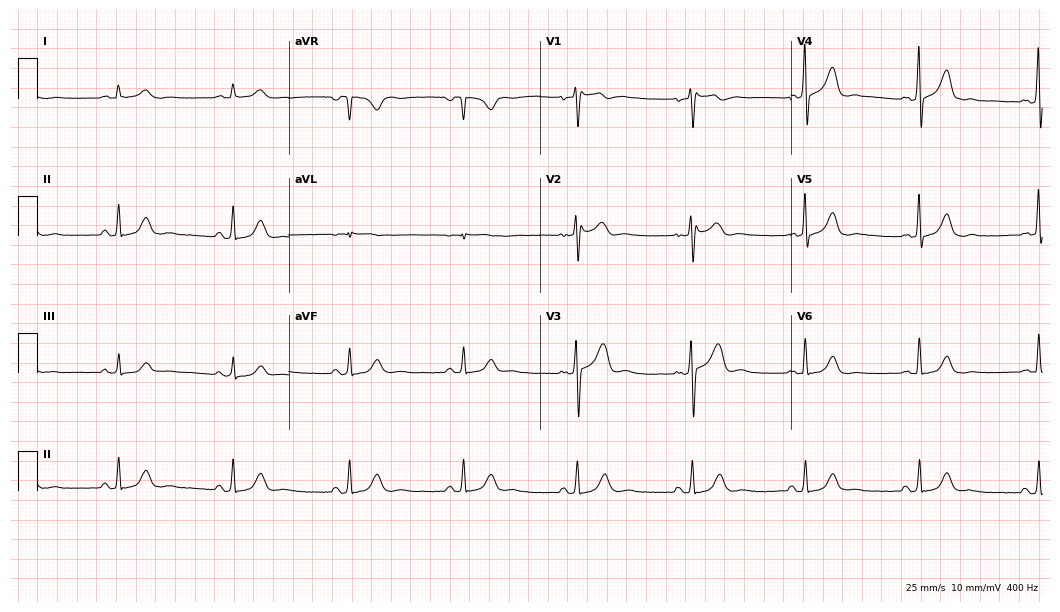
Resting 12-lead electrocardiogram (10.2-second recording at 400 Hz). Patient: a 52-year-old male. None of these six findings is recorded: first-degree AV block, right bundle branch block, left bundle branch block, sinus bradycardia, atrial fibrillation, sinus tachycardia. Findings outside these six are not listed.